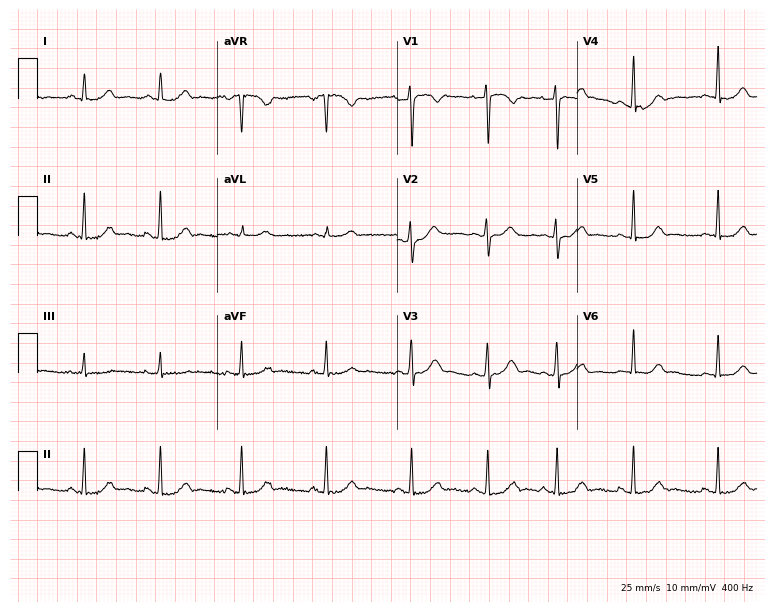
12-lead ECG (7.3-second recording at 400 Hz) from a 21-year-old female patient. Labelled as a normal ECG.